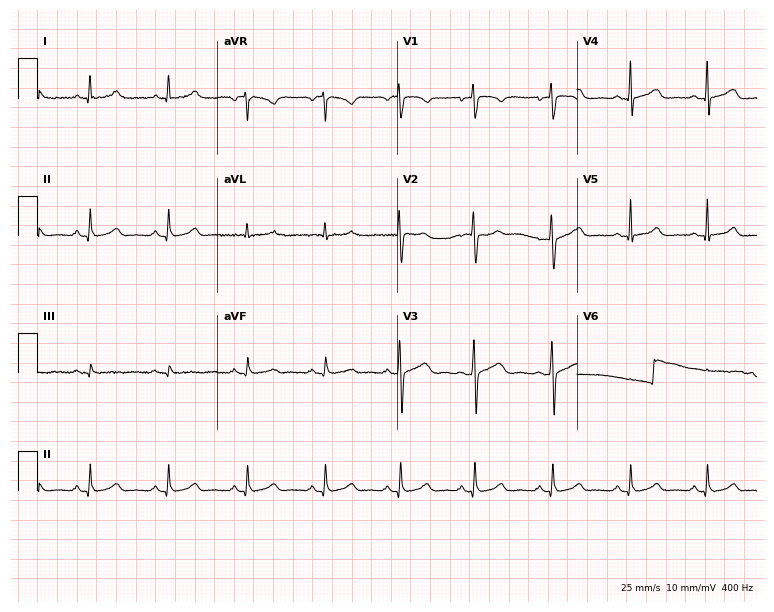
ECG (7.3-second recording at 400 Hz) — a 34-year-old woman. Screened for six findings — first-degree AV block, right bundle branch block, left bundle branch block, sinus bradycardia, atrial fibrillation, sinus tachycardia — none is recorded.